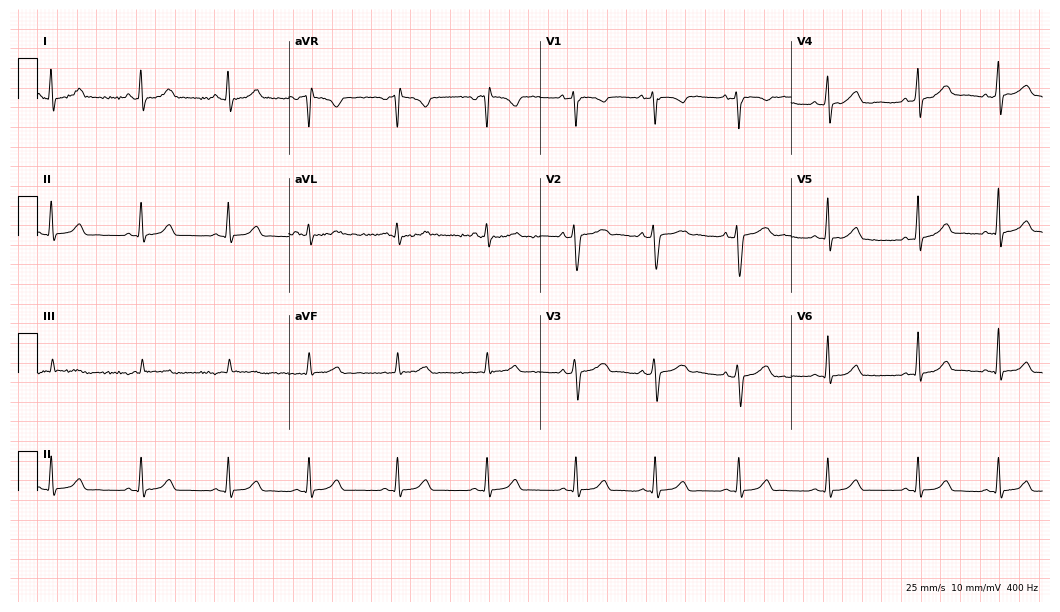
12-lead ECG from a 20-year-old woman. Labelled as a normal ECG.